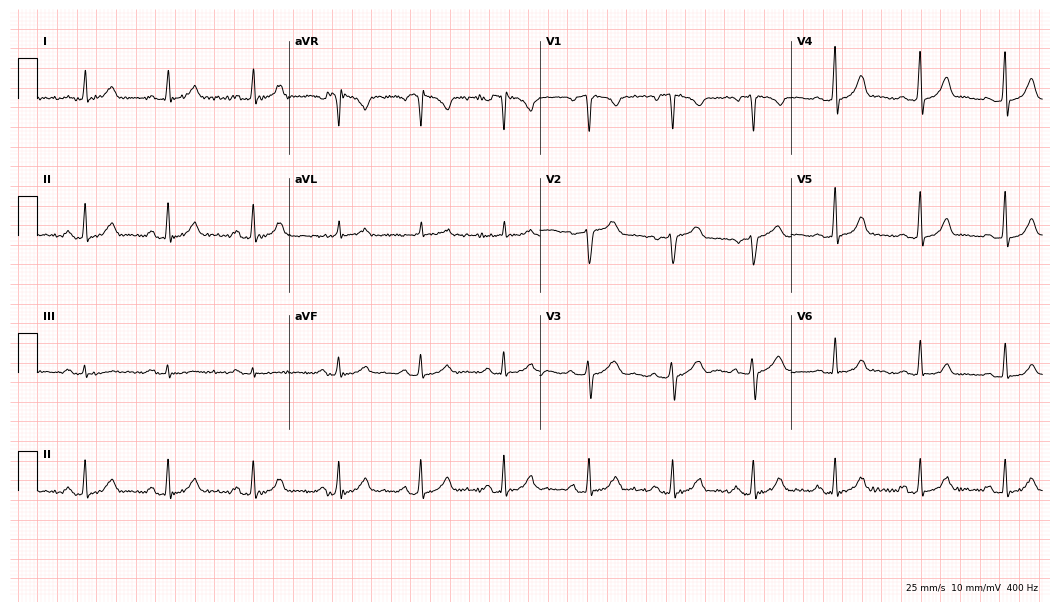
Resting 12-lead electrocardiogram. Patient: a 33-year-old female. Read as a normal ECG.